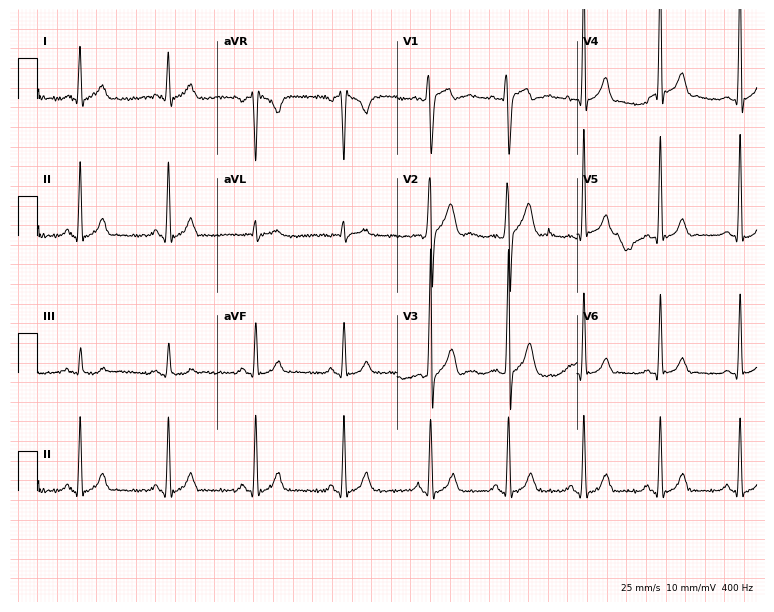
Electrocardiogram, a male, 21 years old. Overall reading on record: normal ECG.